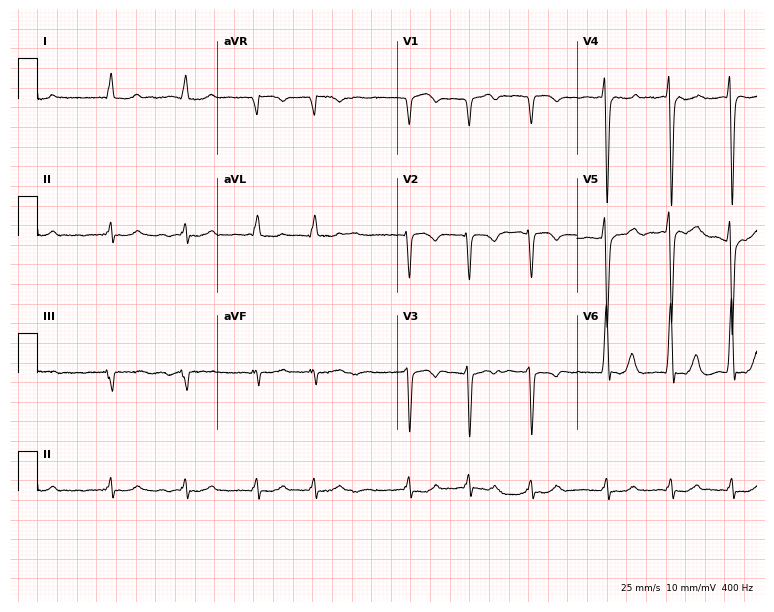
12-lead ECG from an 85-year-old male patient. Shows atrial fibrillation (AF).